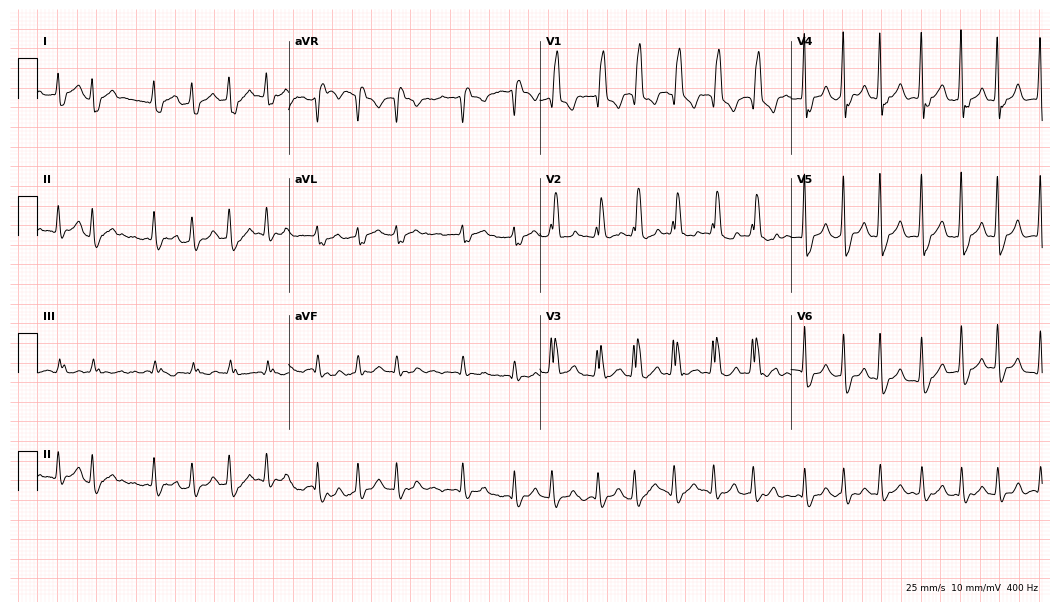
Standard 12-lead ECG recorded from a 68-year-old man (10.2-second recording at 400 Hz). The tracing shows right bundle branch block, atrial fibrillation, sinus tachycardia (a sinus rate of 100 beats per minute or more).